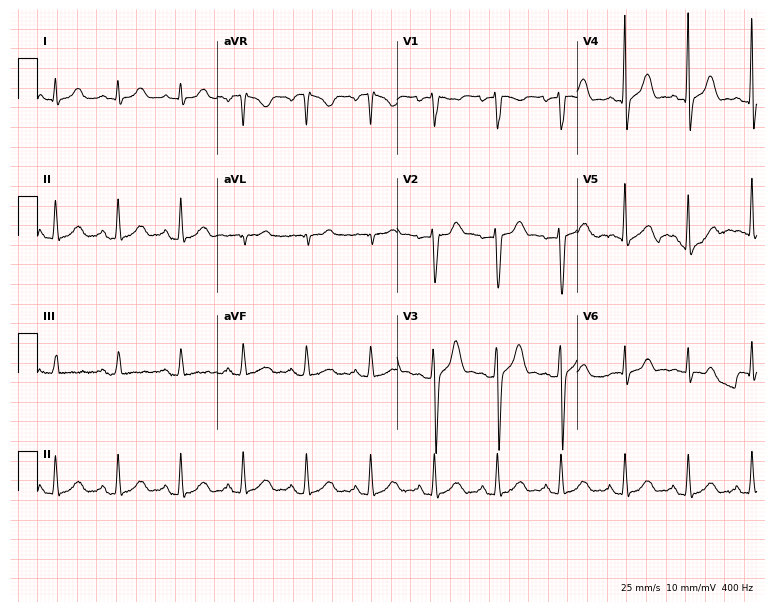
ECG (7.3-second recording at 400 Hz) — a 36-year-old male. Screened for six findings — first-degree AV block, right bundle branch block, left bundle branch block, sinus bradycardia, atrial fibrillation, sinus tachycardia — none is recorded.